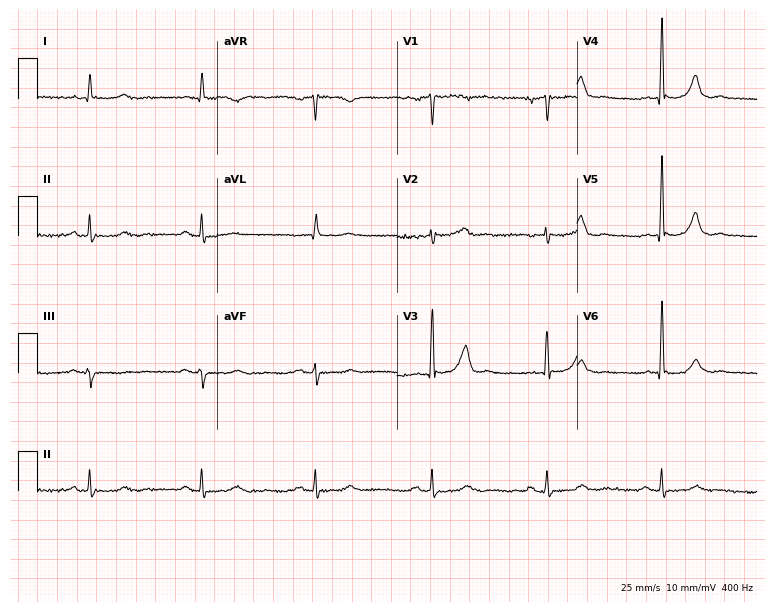
ECG (7.3-second recording at 400 Hz) — a 66-year-old male. Labelled as a normal ECG.